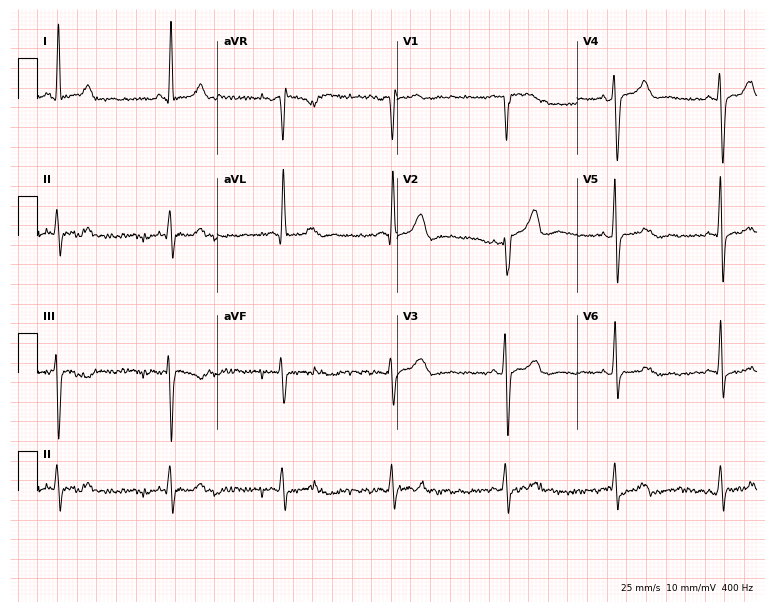
ECG (7.3-second recording at 400 Hz) — a 48-year-old male. Screened for six findings — first-degree AV block, right bundle branch block (RBBB), left bundle branch block (LBBB), sinus bradycardia, atrial fibrillation (AF), sinus tachycardia — none is recorded. Other findings, if any, are not listed.